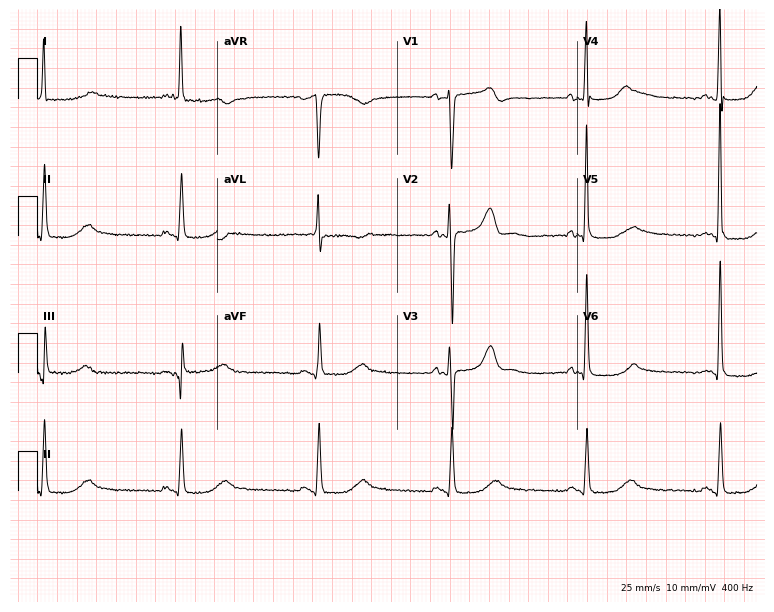
12-lead ECG from a 78-year-old female patient. Findings include sinus bradycardia (a sinus rate of 50 beats per minute or less).